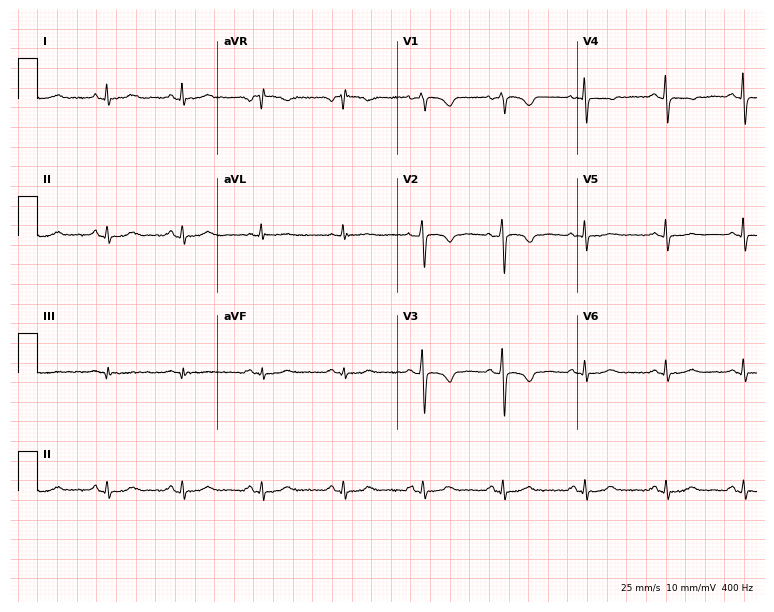
12-lead ECG from a 51-year-old female. Screened for six findings — first-degree AV block, right bundle branch block (RBBB), left bundle branch block (LBBB), sinus bradycardia, atrial fibrillation (AF), sinus tachycardia — none is recorded.